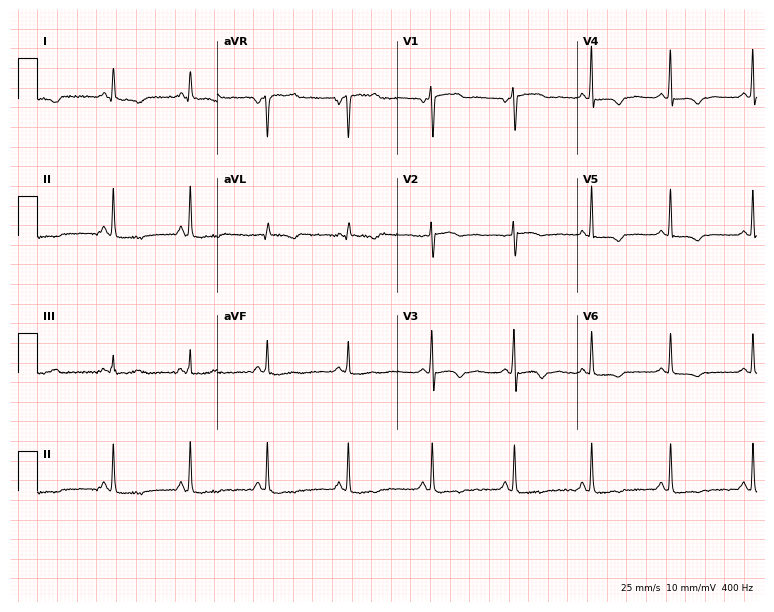
Resting 12-lead electrocardiogram (7.3-second recording at 400 Hz). Patient: a female, 60 years old. None of these six findings is recorded: first-degree AV block, right bundle branch block (RBBB), left bundle branch block (LBBB), sinus bradycardia, atrial fibrillation (AF), sinus tachycardia. Only these six findings were labelled.